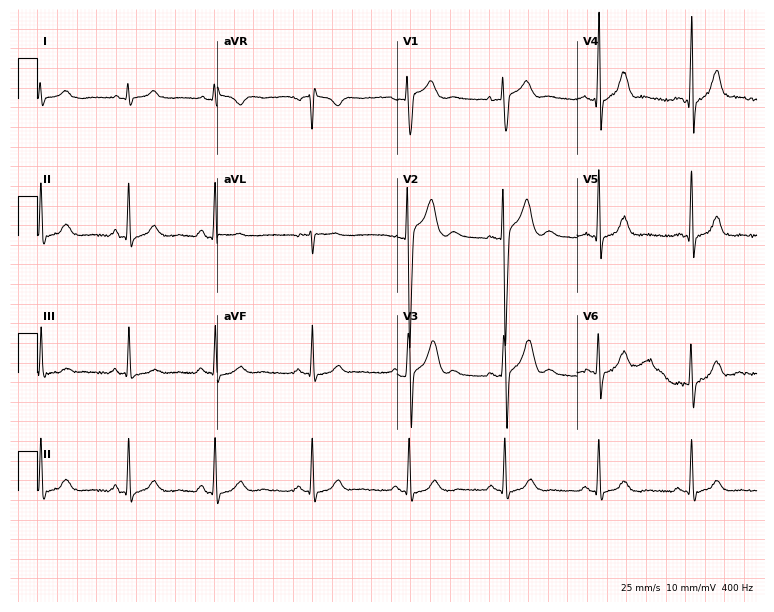
Standard 12-lead ECG recorded from a man, 21 years old (7.3-second recording at 400 Hz). Read as a normal ECG.